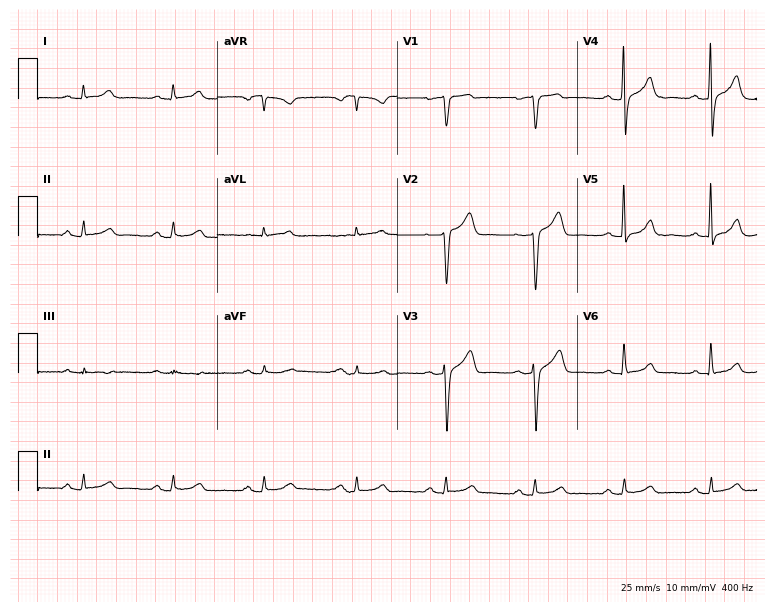
Electrocardiogram (7.3-second recording at 400 Hz), a man, 53 years old. Overall reading on record: normal ECG.